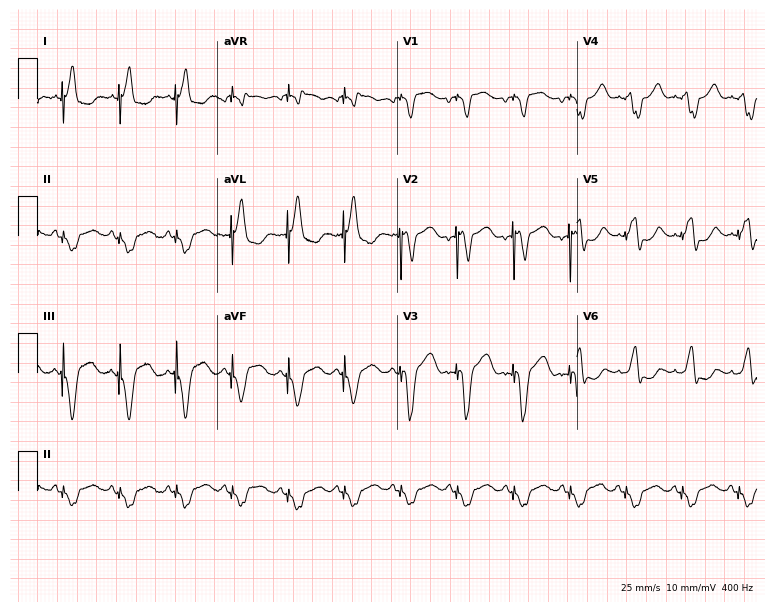
12-lead ECG (7.3-second recording at 400 Hz) from a female patient, 61 years old. Screened for six findings — first-degree AV block, right bundle branch block, left bundle branch block, sinus bradycardia, atrial fibrillation, sinus tachycardia — none is recorded. Other findings, if any, are not listed.